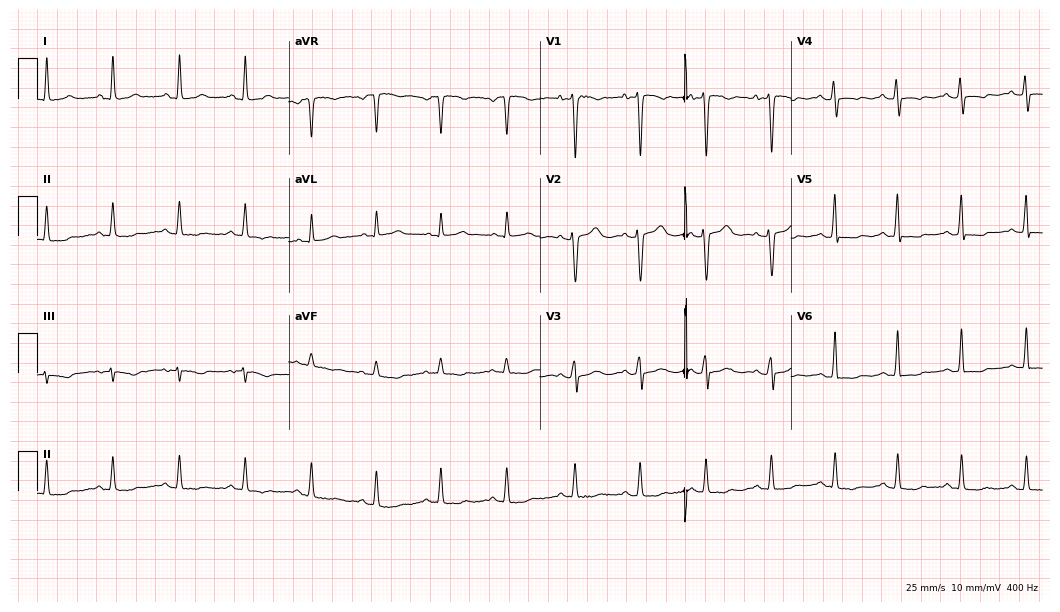
Resting 12-lead electrocardiogram (10.2-second recording at 400 Hz). Patient: a 53-year-old female. None of these six findings is recorded: first-degree AV block, right bundle branch block, left bundle branch block, sinus bradycardia, atrial fibrillation, sinus tachycardia.